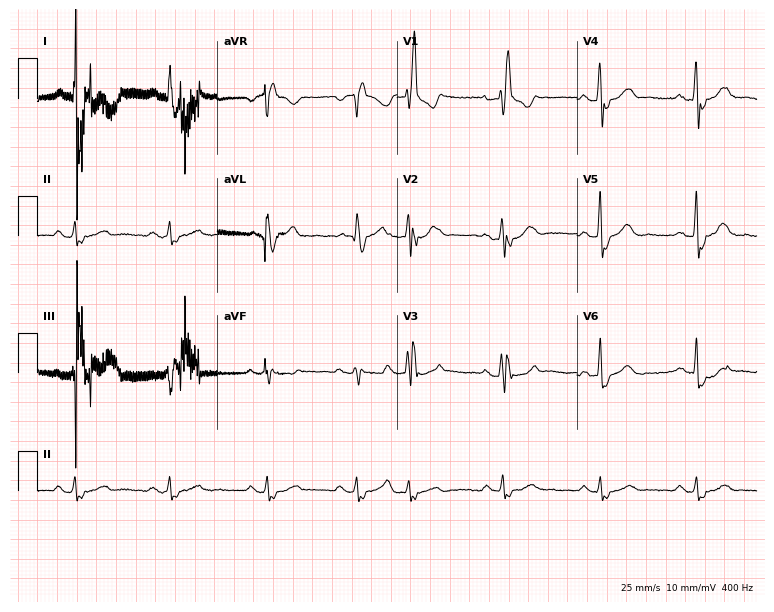
12-lead ECG from an 84-year-old male (7.3-second recording at 400 Hz). Shows right bundle branch block.